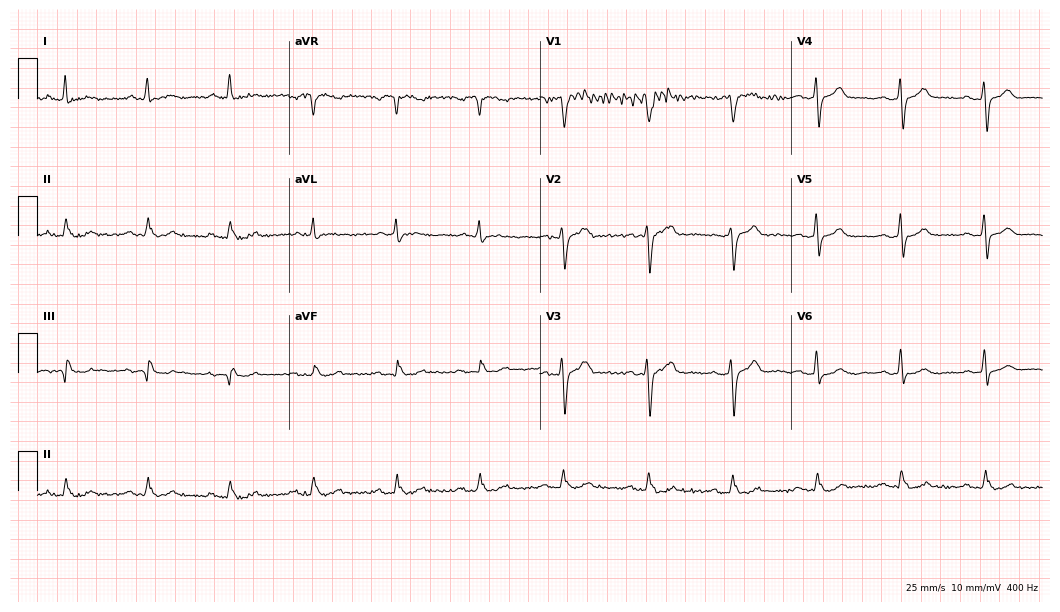
Electrocardiogram (10.2-second recording at 400 Hz), a man, 66 years old. Of the six screened findings (first-degree AV block, right bundle branch block, left bundle branch block, sinus bradycardia, atrial fibrillation, sinus tachycardia), none is recorded.